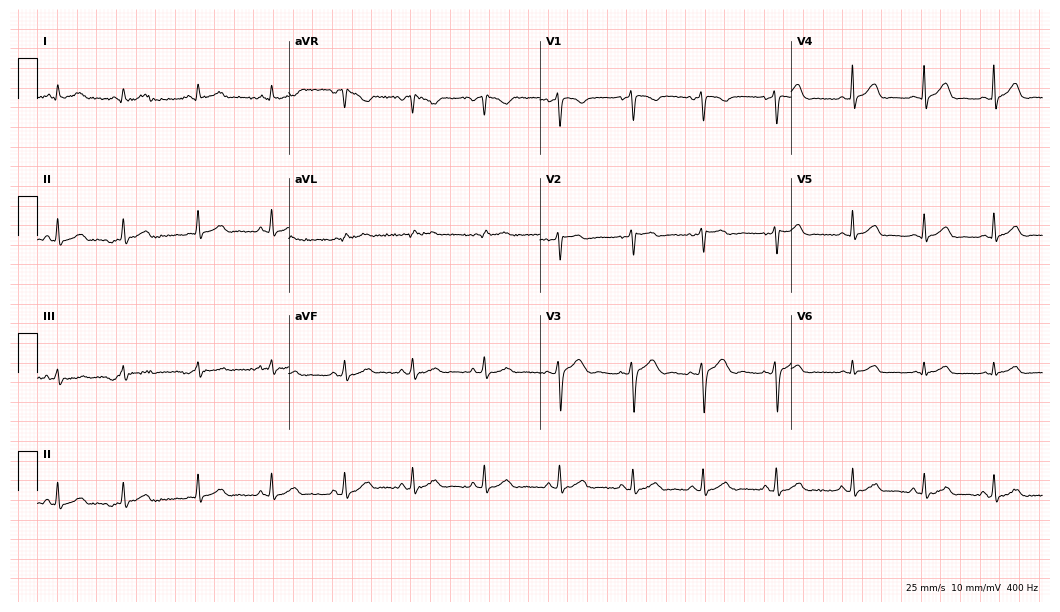
Resting 12-lead electrocardiogram (10.2-second recording at 400 Hz). Patient: a female, 32 years old. None of these six findings is recorded: first-degree AV block, right bundle branch block (RBBB), left bundle branch block (LBBB), sinus bradycardia, atrial fibrillation (AF), sinus tachycardia.